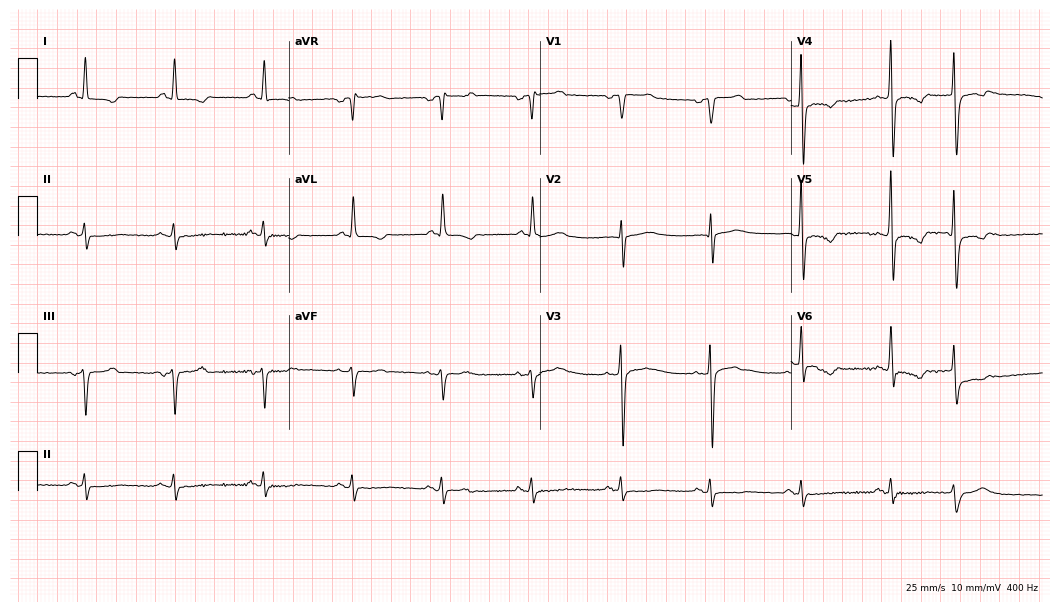
Resting 12-lead electrocardiogram (10.2-second recording at 400 Hz). Patient: a male, 84 years old. None of these six findings is recorded: first-degree AV block, right bundle branch block (RBBB), left bundle branch block (LBBB), sinus bradycardia, atrial fibrillation (AF), sinus tachycardia. Findings outside these six are not listed.